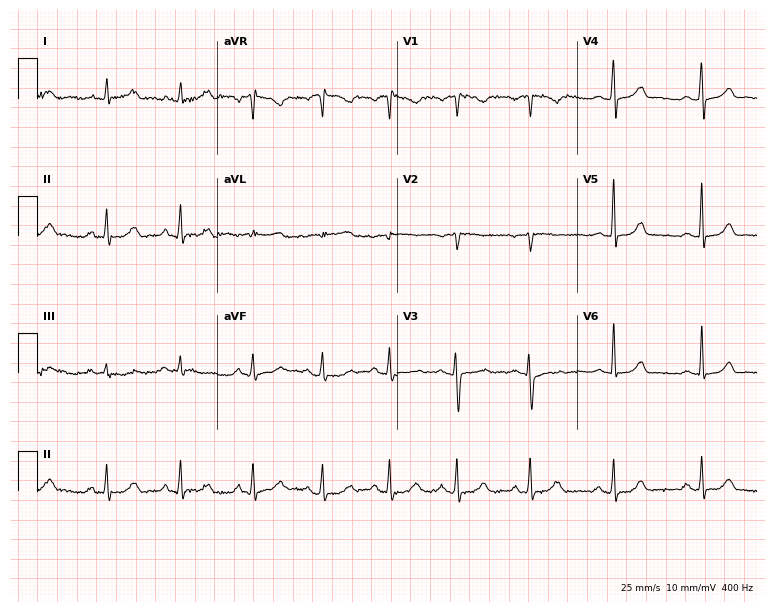
Resting 12-lead electrocardiogram (7.3-second recording at 400 Hz). Patient: a female, 35 years old. Read as a normal ECG.